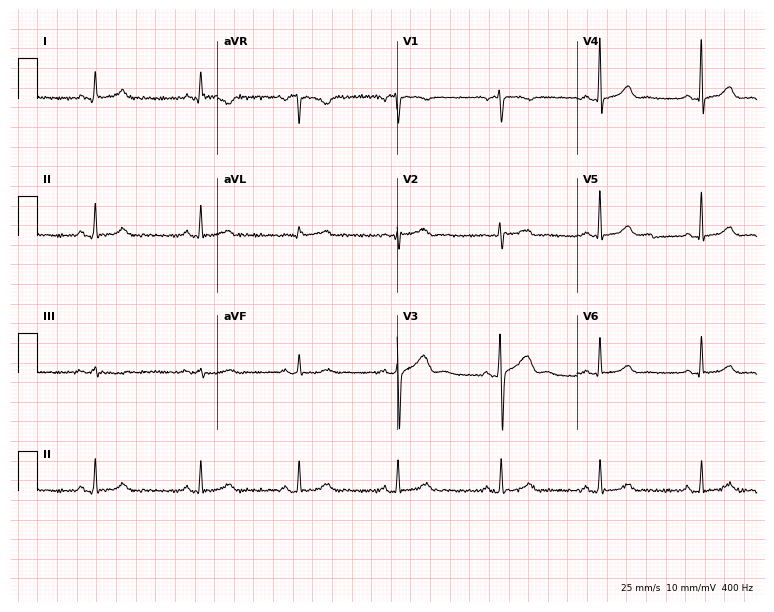
12-lead ECG from a female, 34 years old. Screened for six findings — first-degree AV block, right bundle branch block, left bundle branch block, sinus bradycardia, atrial fibrillation, sinus tachycardia — none is recorded.